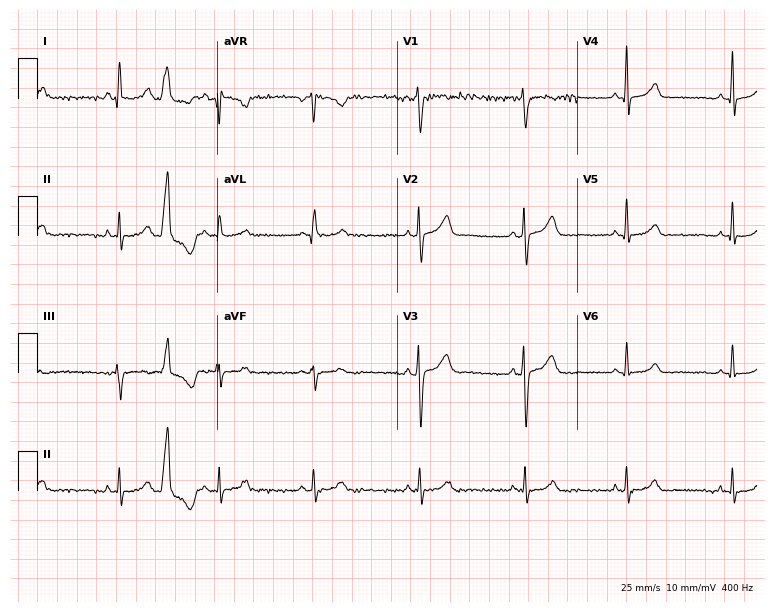
12-lead ECG from a 40-year-old female patient. No first-degree AV block, right bundle branch block (RBBB), left bundle branch block (LBBB), sinus bradycardia, atrial fibrillation (AF) or sinus tachycardia recorded for this tracing.